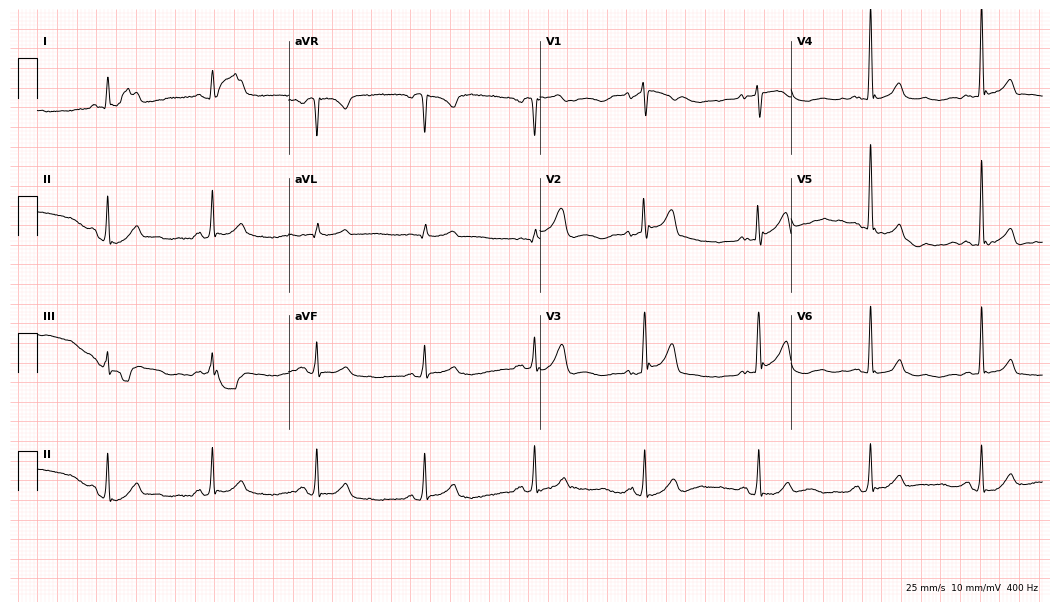
12-lead ECG from a 72-year-old male patient. Labelled as a normal ECG.